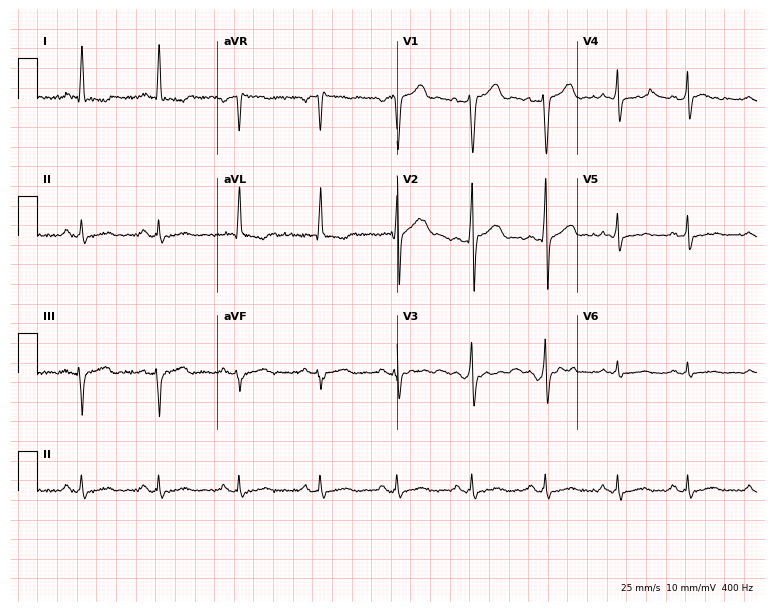
Standard 12-lead ECG recorded from a 60-year-old man. None of these six findings is recorded: first-degree AV block, right bundle branch block (RBBB), left bundle branch block (LBBB), sinus bradycardia, atrial fibrillation (AF), sinus tachycardia.